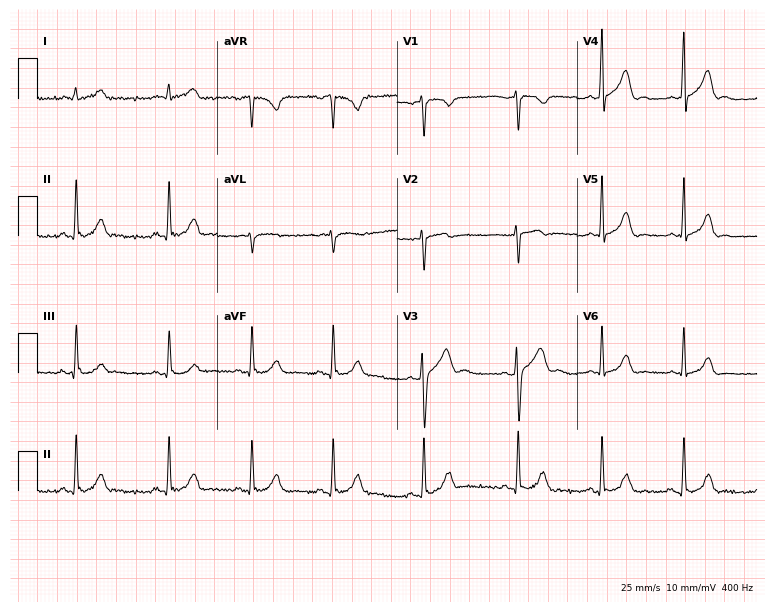
ECG — a 33-year-old male patient. Labelled as a normal ECG.